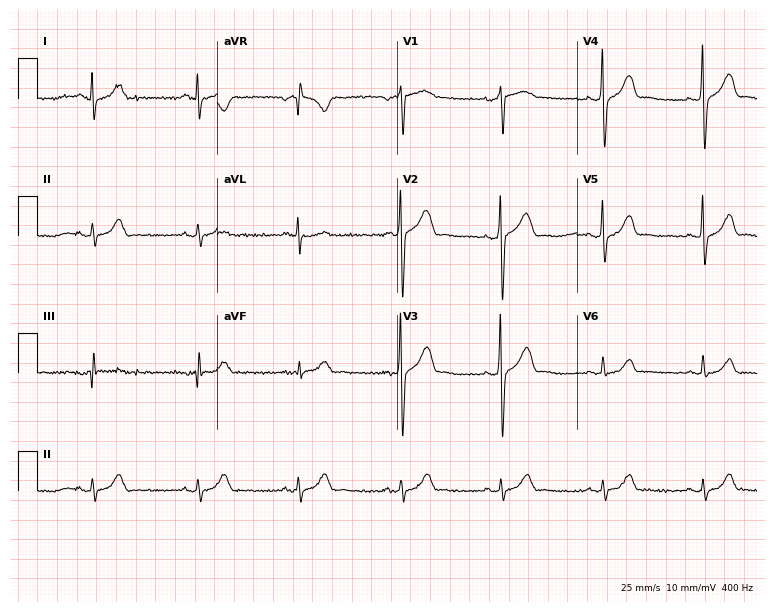
Standard 12-lead ECG recorded from a male, 53 years old (7.3-second recording at 400 Hz). Read as a normal ECG.